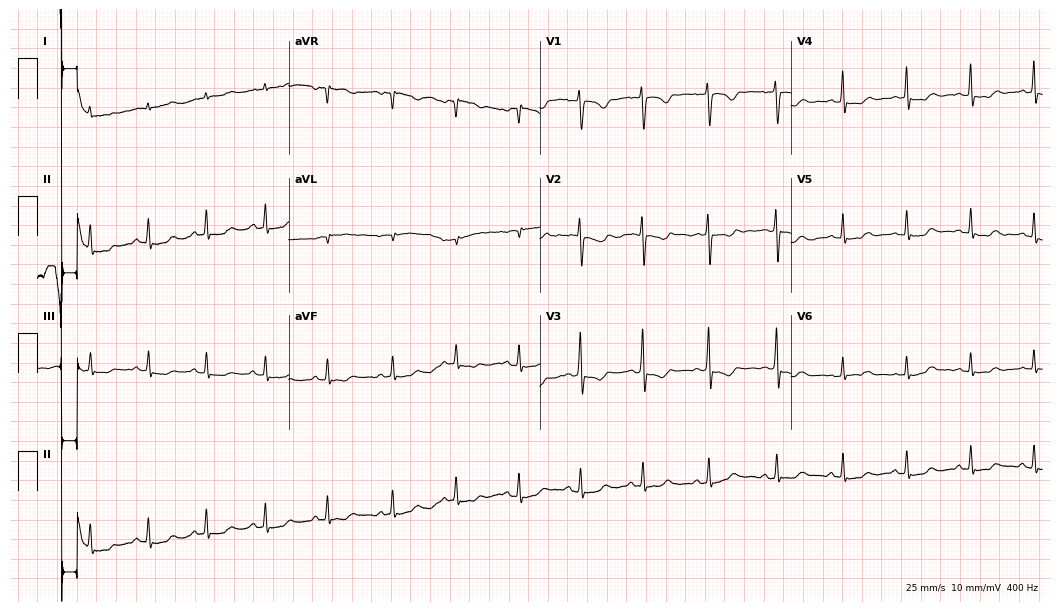
12-lead ECG from a 21-year-old woman (10.2-second recording at 400 Hz). No first-degree AV block, right bundle branch block, left bundle branch block, sinus bradycardia, atrial fibrillation or sinus tachycardia recorded for this tracing. Only these six findings were labelled.